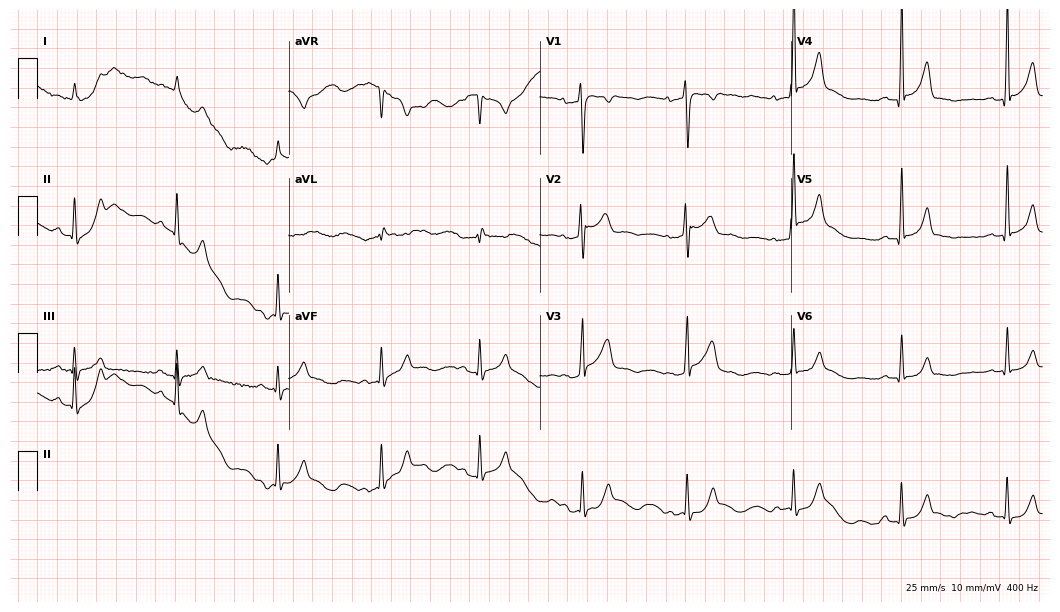
12-lead ECG from a 38-year-old man. No first-degree AV block, right bundle branch block, left bundle branch block, sinus bradycardia, atrial fibrillation or sinus tachycardia recorded for this tracing. Findings outside these six are not listed.